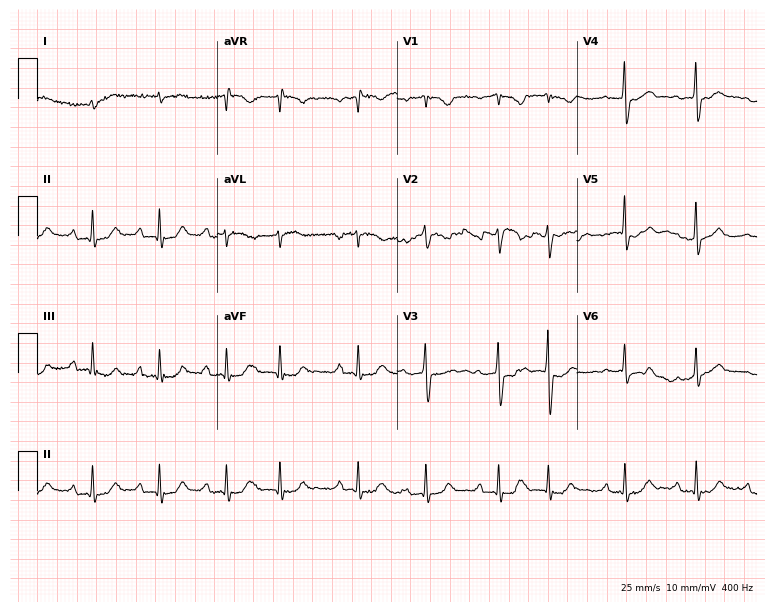
12-lead ECG (7.3-second recording at 400 Hz) from an 84-year-old male patient. Screened for six findings — first-degree AV block, right bundle branch block, left bundle branch block, sinus bradycardia, atrial fibrillation, sinus tachycardia — none is recorded.